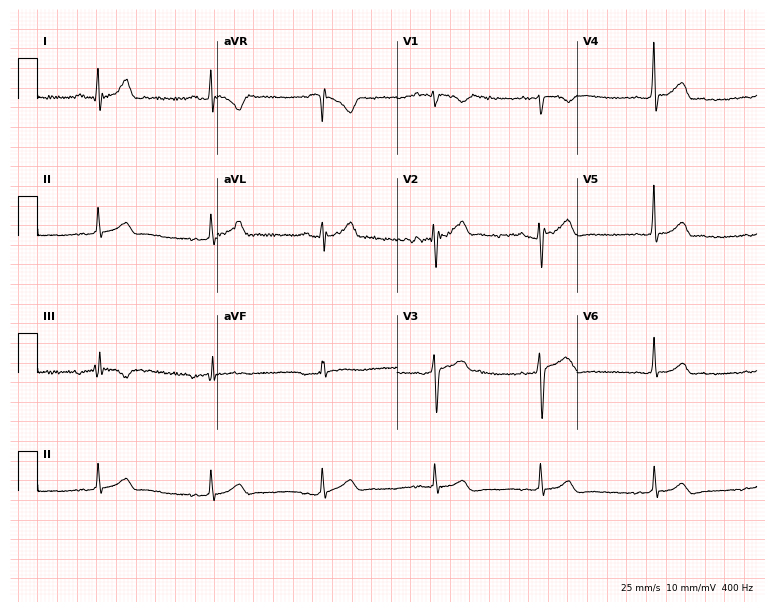
12-lead ECG from a 23-year-old male patient. Screened for six findings — first-degree AV block, right bundle branch block, left bundle branch block, sinus bradycardia, atrial fibrillation, sinus tachycardia — none is recorded.